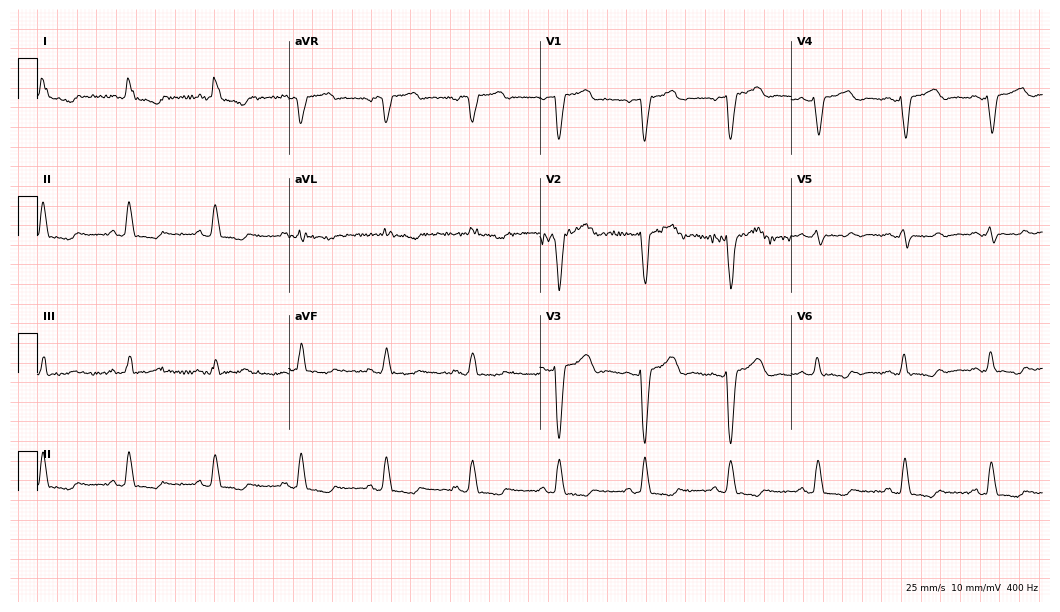
Electrocardiogram (10.2-second recording at 400 Hz), a woman, 76 years old. Interpretation includes left bundle branch block (LBBB).